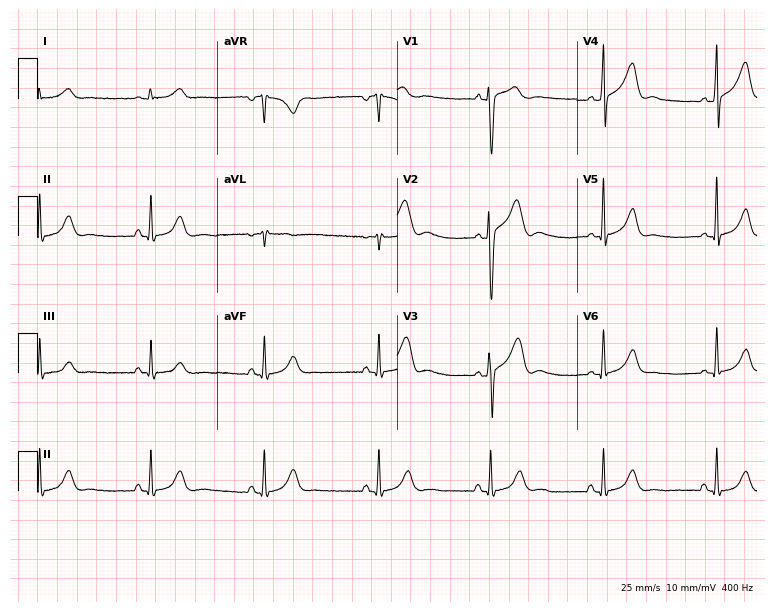
Resting 12-lead electrocardiogram (7.3-second recording at 400 Hz). Patient: a 53-year-old male. None of these six findings is recorded: first-degree AV block, right bundle branch block, left bundle branch block, sinus bradycardia, atrial fibrillation, sinus tachycardia.